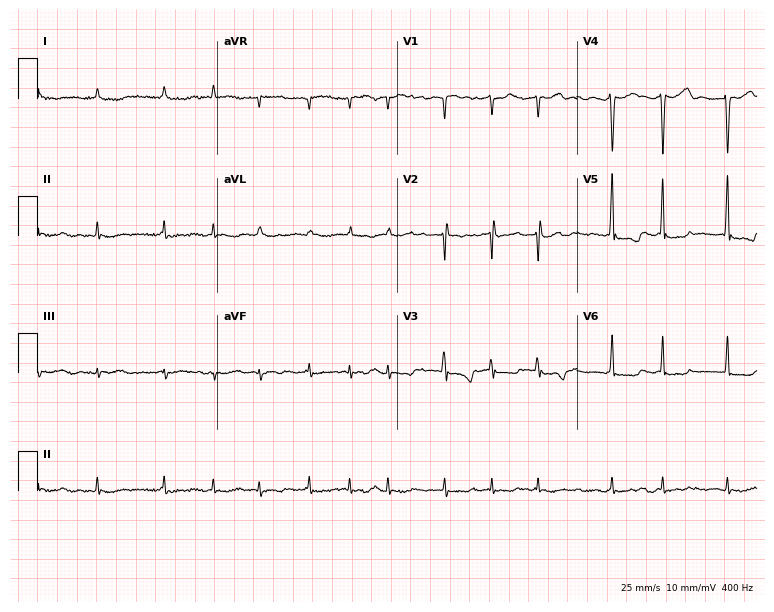
Standard 12-lead ECG recorded from a 71-year-old woman. The tracing shows atrial fibrillation (AF).